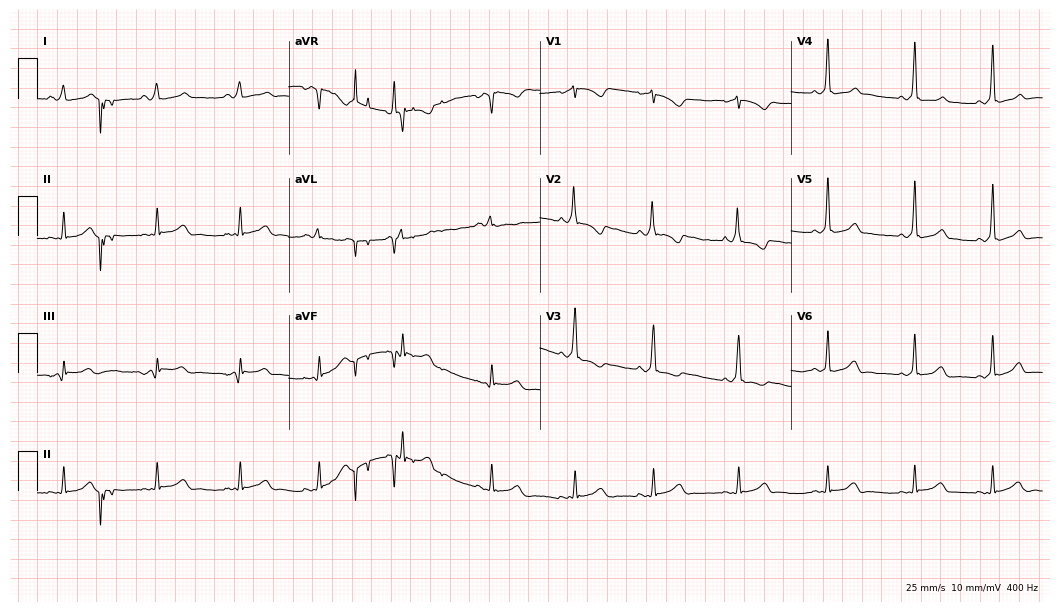
Standard 12-lead ECG recorded from a female, 22 years old. None of these six findings is recorded: first-degree AV block, right bundle branch block, left bundle branch block, sinus bradycardia, atrial fibrillation, sinus tachycardia.